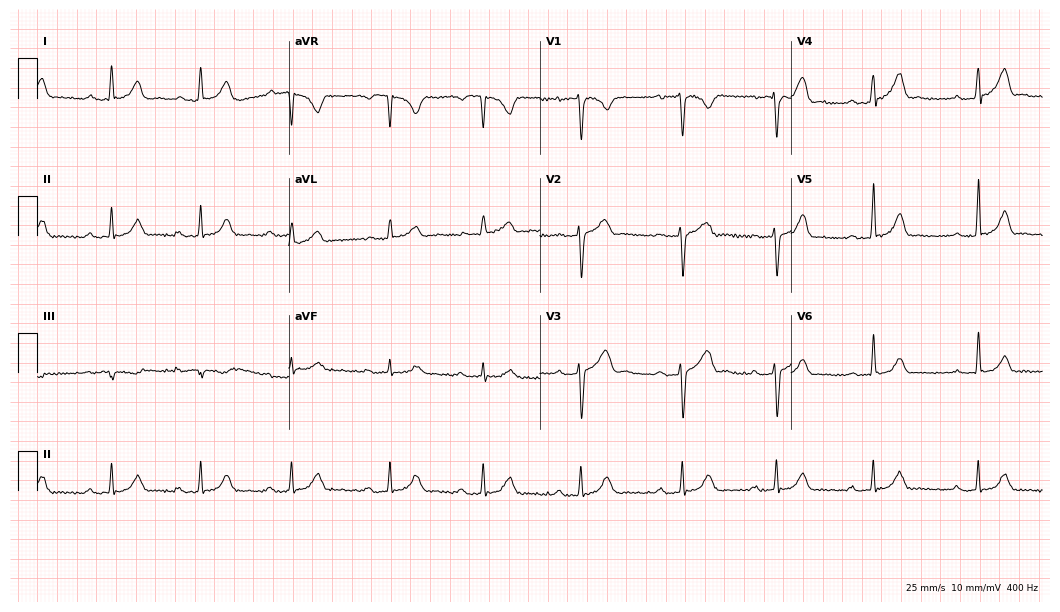
Resting 12-lead electrocardiogram. Patient: a male, 31 years old. None of these six findings is recorded: first-degree AV block, right bundle branch block (RBBB), left bundle branch block (LBBB), sinus bradycardia, atrial fibrillation (AF), sinus tachycardia.